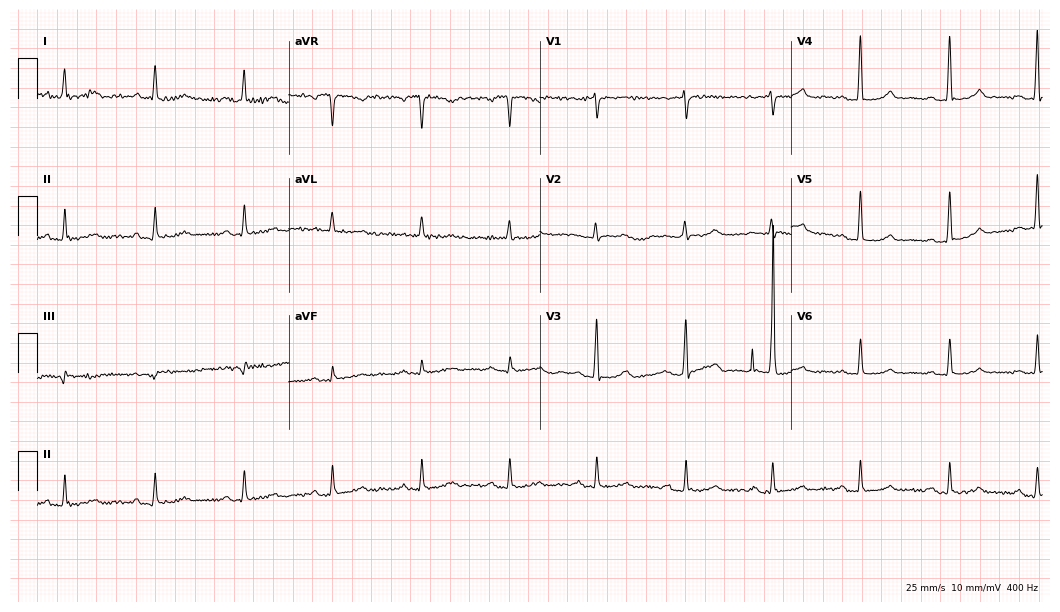
Electrocardiogram, a female patient, 65 years old. Of the six screened findings (first-degree AV block, right bundle branch block (RBBB), left bundle branch block (LBBB), sinus bradycardia, atrial fibrillation (AF), sinus tachycardia), none is recorded. Other findings, if any, are not listed.